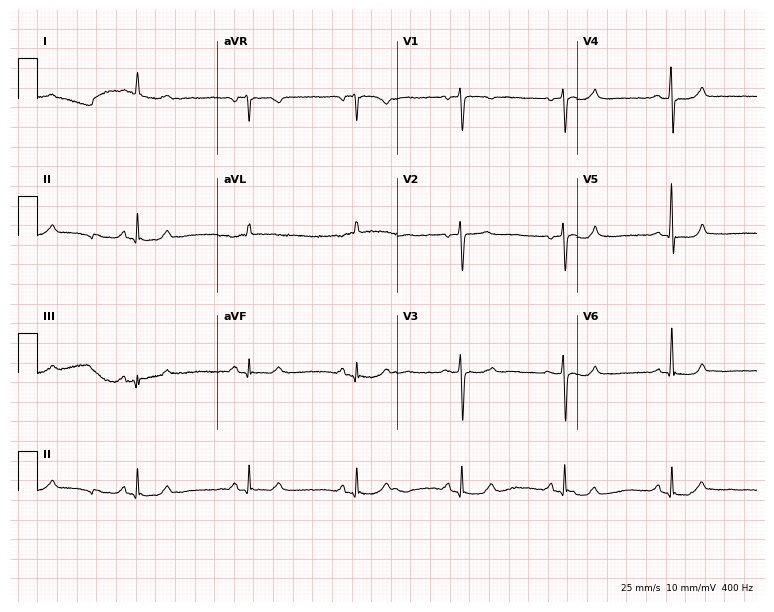
12-lead ECG (7.3-second recording at 400 Hz) from a 60-year-old female. Screened for six findings — first-degree AV block, right bundle branch block (RBBB), left bundle branch block (LBBB), sinus bradycardia, atrial fibrillation (AF), sinus tachycardia — none is recorded. Only these six findings were labelled.